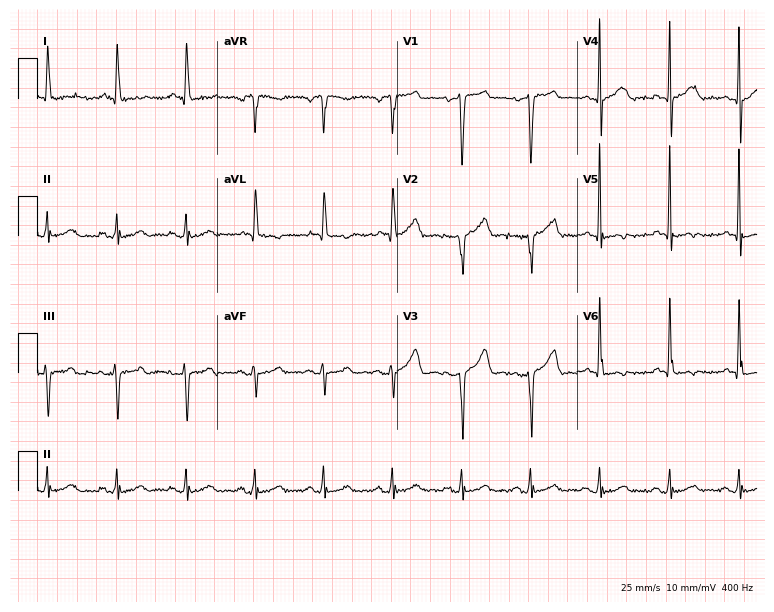
12-lead ECG from a female patient, 74 years old. Screened for six findings — first-degree AV block, right bundle branch block, left bundle branch block, sinus bradycardia, atrial fibrillation, sinus tachycardia — none is recorded. Other findings, if any, are not listed.